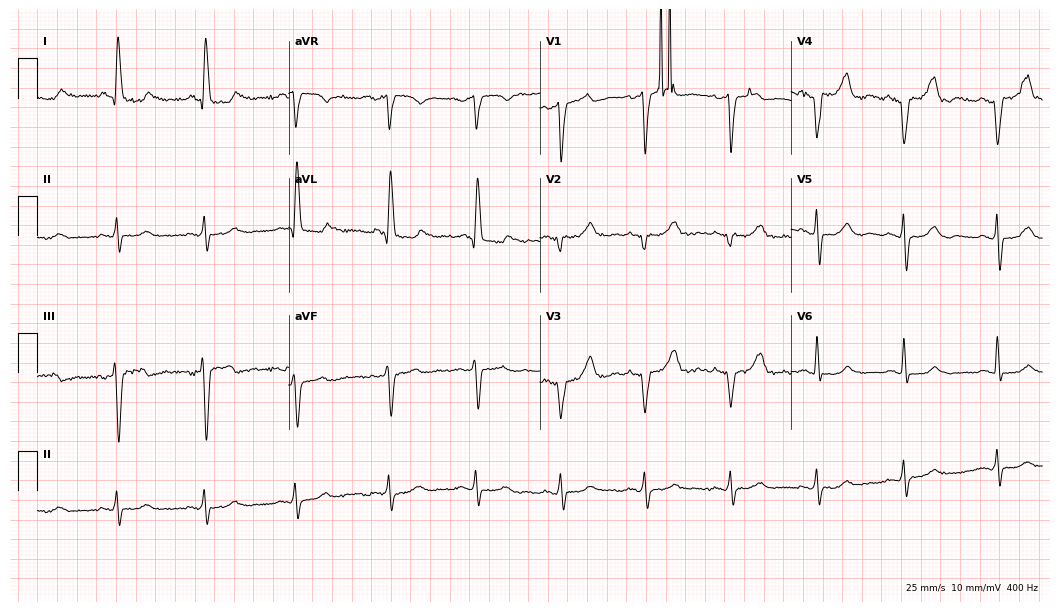
Electrocardiogram, a 66-year-old female patient. Of the six screened findings (first-degree AV block, right bundle branch block (RBBB), left bundle branch block (LBBB), sinus bradycardia, atrial fibrillation (AF), sinus tachycardia), none is recorded.